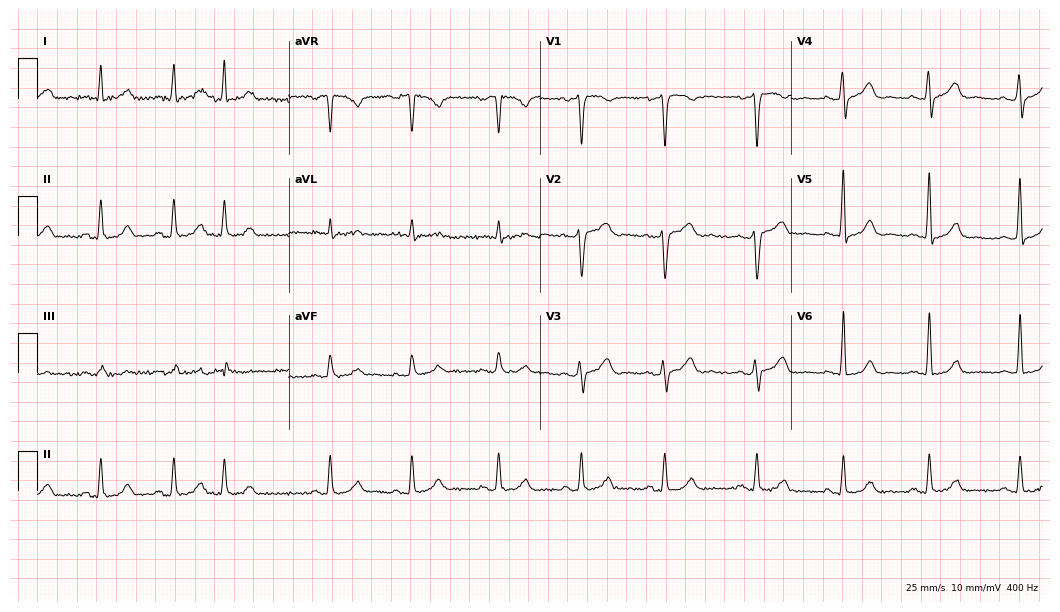
12-lead ECG from a man, 31 years old. Recorded interpretation: within normal limits.